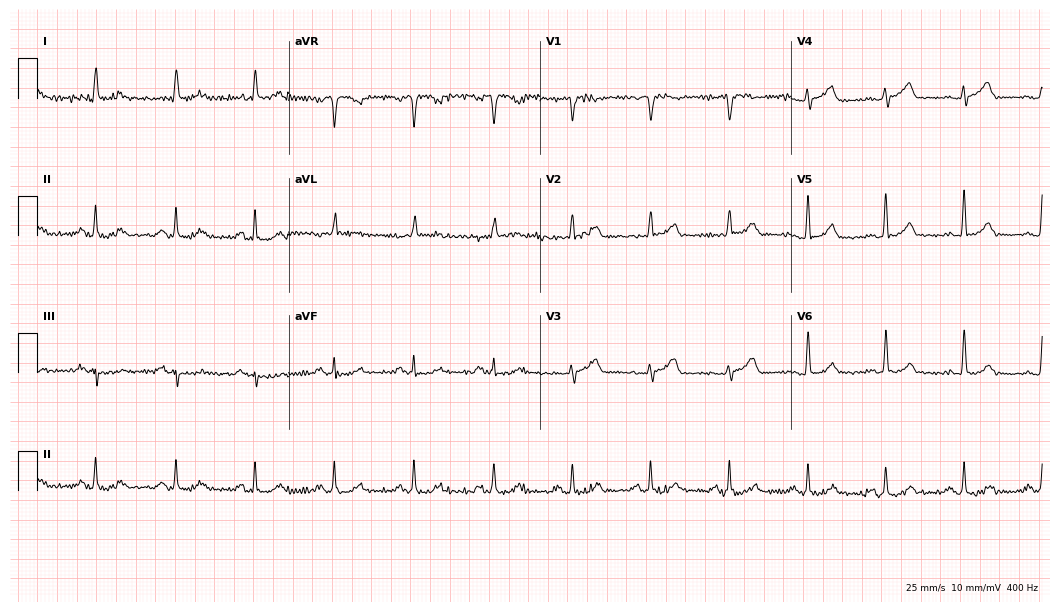
ECG (10.2-second recording at 400 Hz) — a woman, 74 years old. Labelled as a normal ECG.